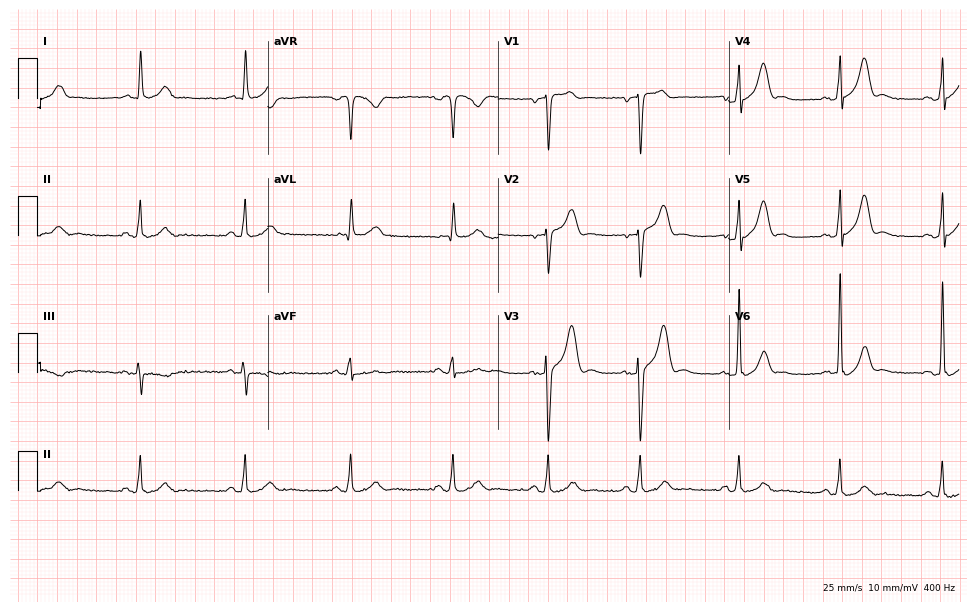
Standard 12-lead ECG recorded from a man, 68 years old. Read as a normal ECG.